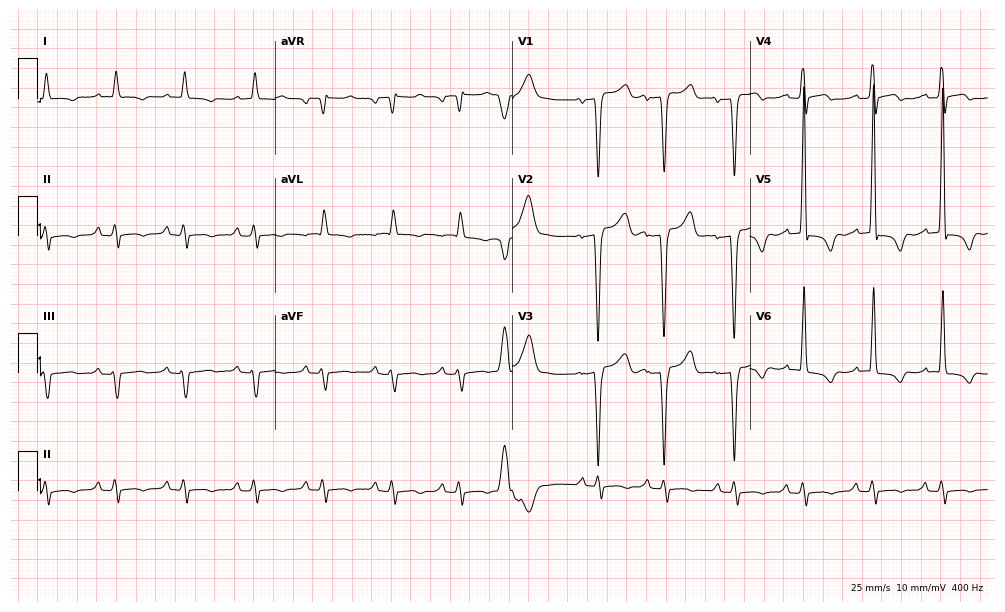
12-lead ECG from a male, 79 years old (9.7-second recording at 400 Hz). No first-degree AV block, right bundle branch block (RBBB), left bundle branch block (LBBB), sinus bradycardia, atrial fibrillation (AF) or sinus tachycardia recorded for this tracing. Only these six findings were labelled.